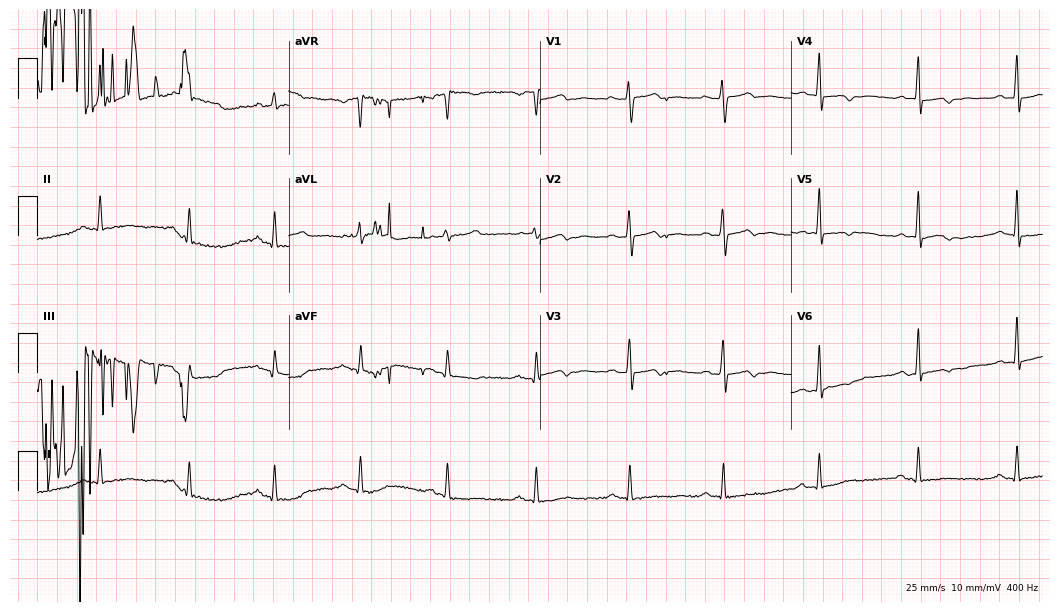
12-lead ECG from a female, 33 years old (10.2-second recording at 400 Hz). Recorded interpretation: within normal limits.